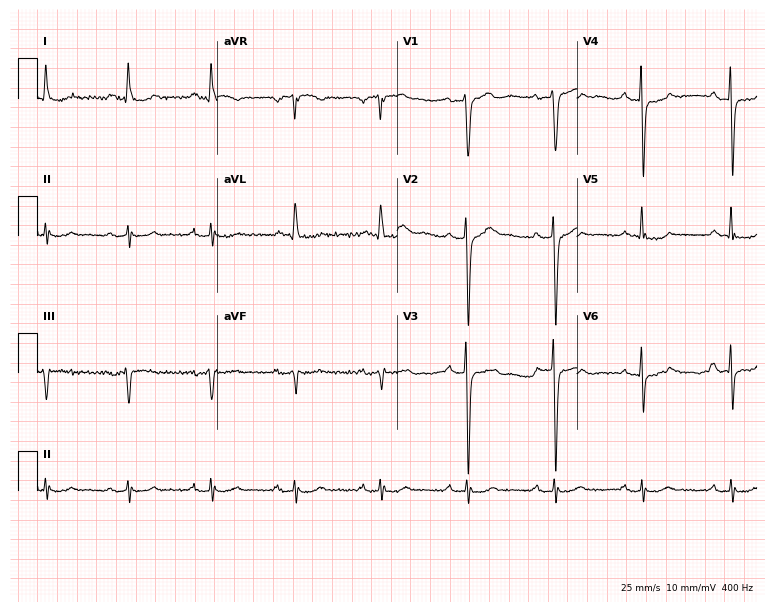
ECG (7.3-second recording at 400 Hz) — a male patient, 65 years old. Labelled as a normal ECG.